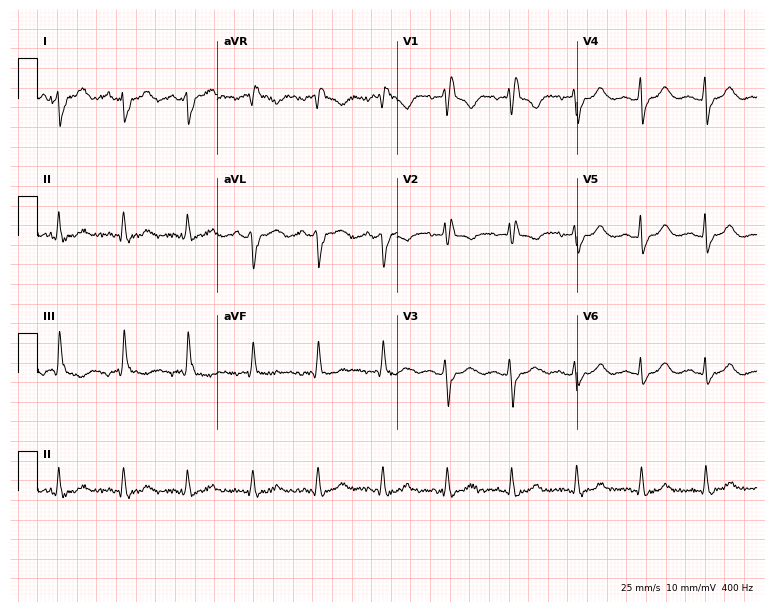
ECG (7.3-second recording at 400 Hz) — a 46-year-old female. Findings include right bundle branch block.